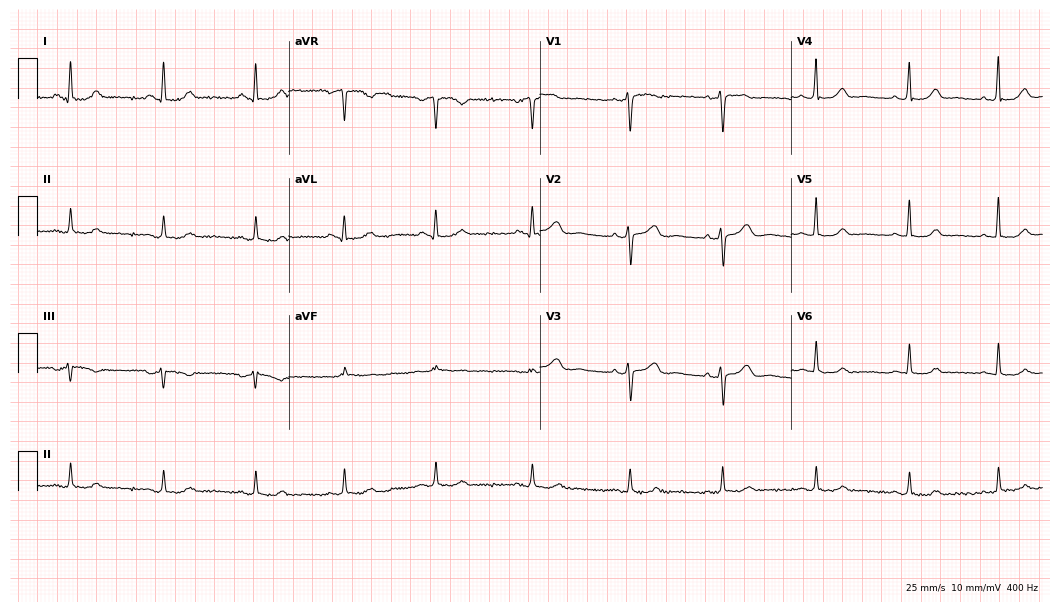
Standard 12-lead ECG recorded from a female patient, 53 years old (10.2-second recording at 400 Hz). Read as a normal ECG.